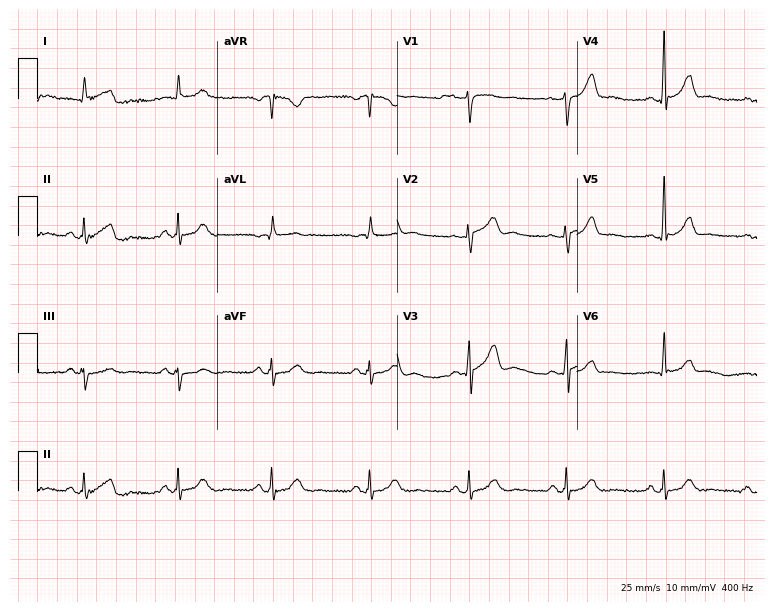
12-lead ECG (7.3-second recording at 400 Hz) from a male, 70 years old. Labelled as a normal ECG.